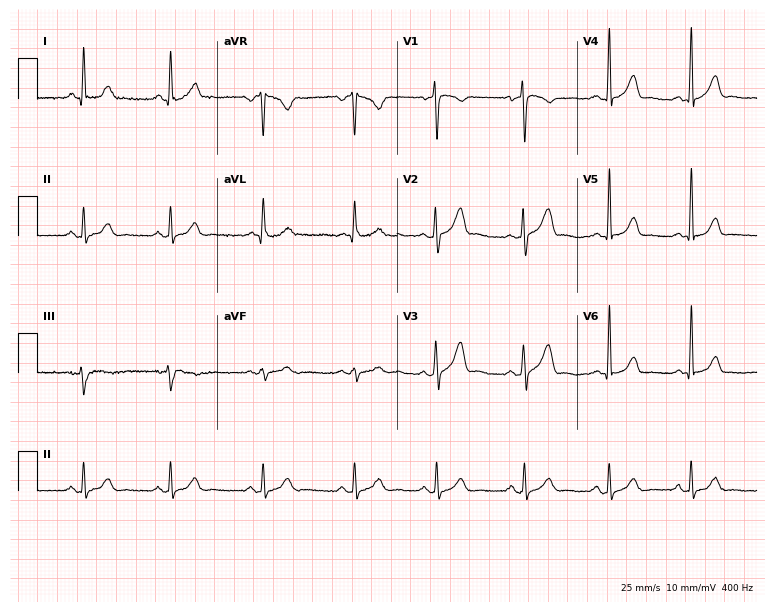
Resting 12-lead electrocardiogram. Patient: a 30-year-old male. Read as a normal ECG.